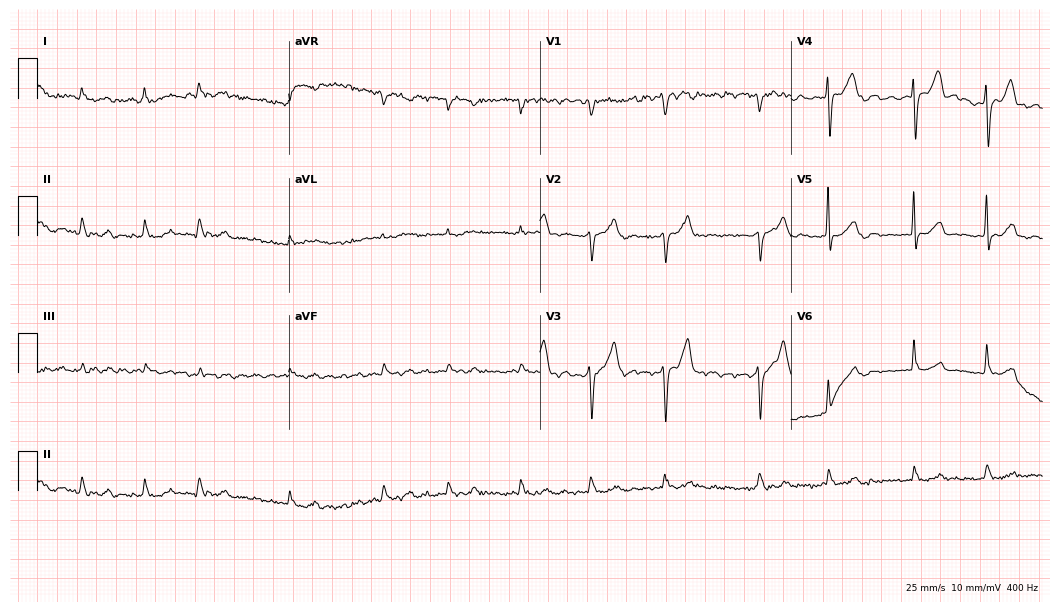
Standard 12-lead ECG recorded from an 84-year-old male. The tracing shows atrial fibrillation (AF).